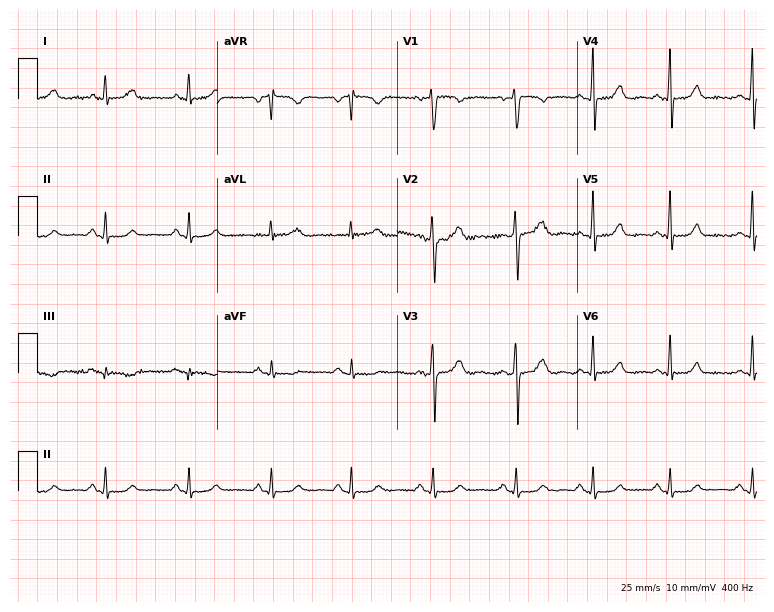
Standard 12-lead ECG recorded from a female patient, 52 years old. Read as a normal ECG.